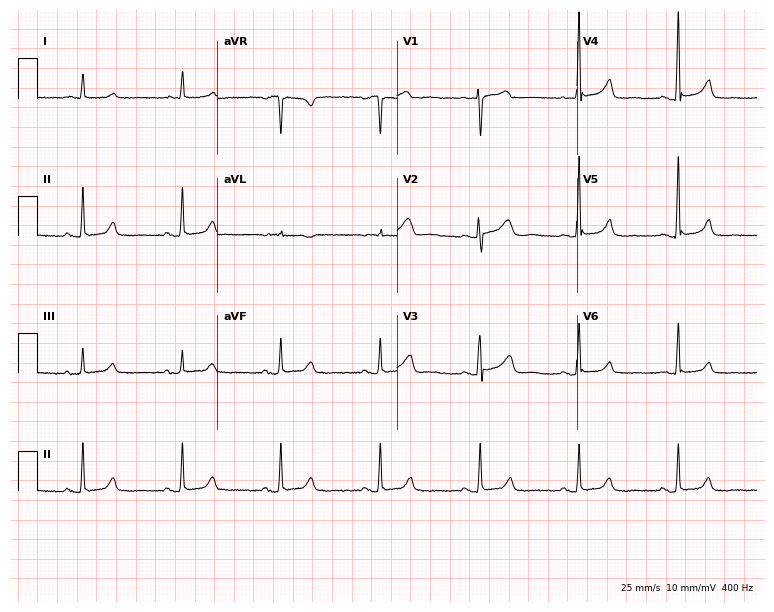
12-lead ECG from a 54-year-old woman. Labelled as a normal ECG.